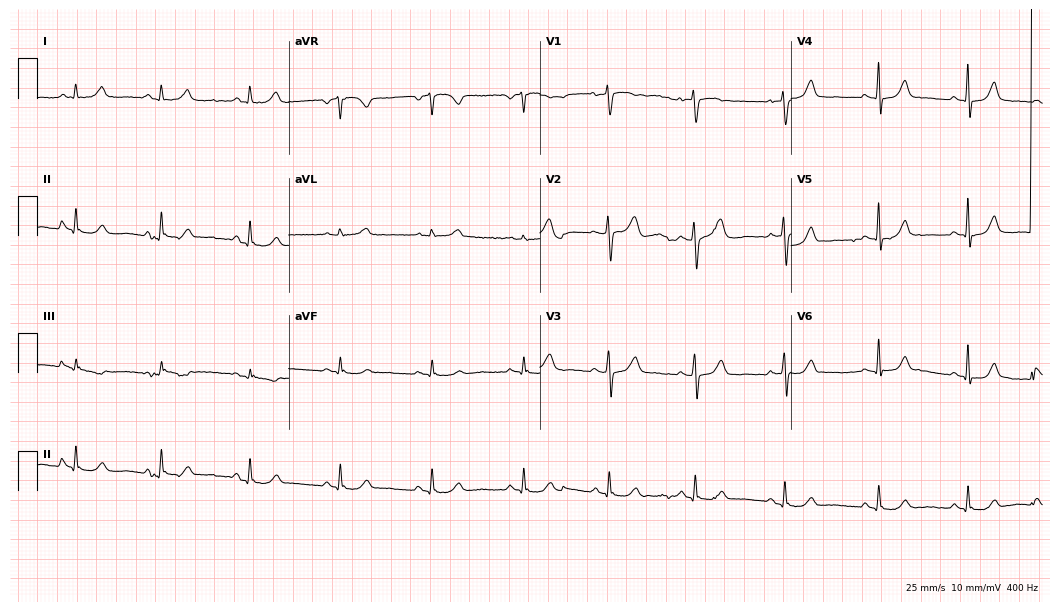
Resting 12-lead electrocardiogram (10.2-second recording at 400 Hz). Patient: a 47-year-old female. Read as a normal ECG.